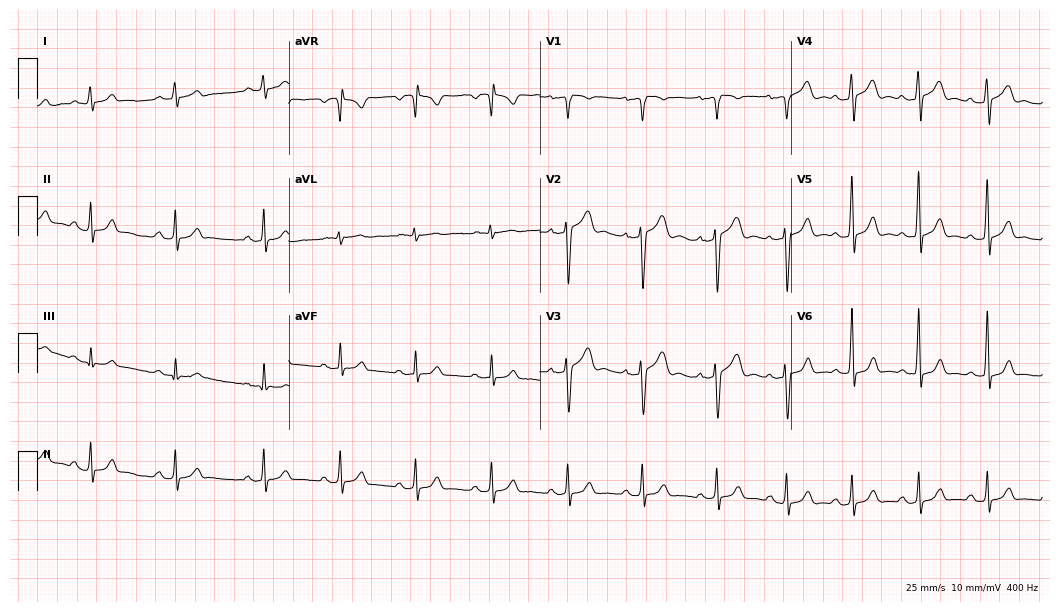
ECG — a 42-year-old man. Labelled as a normal ECG.